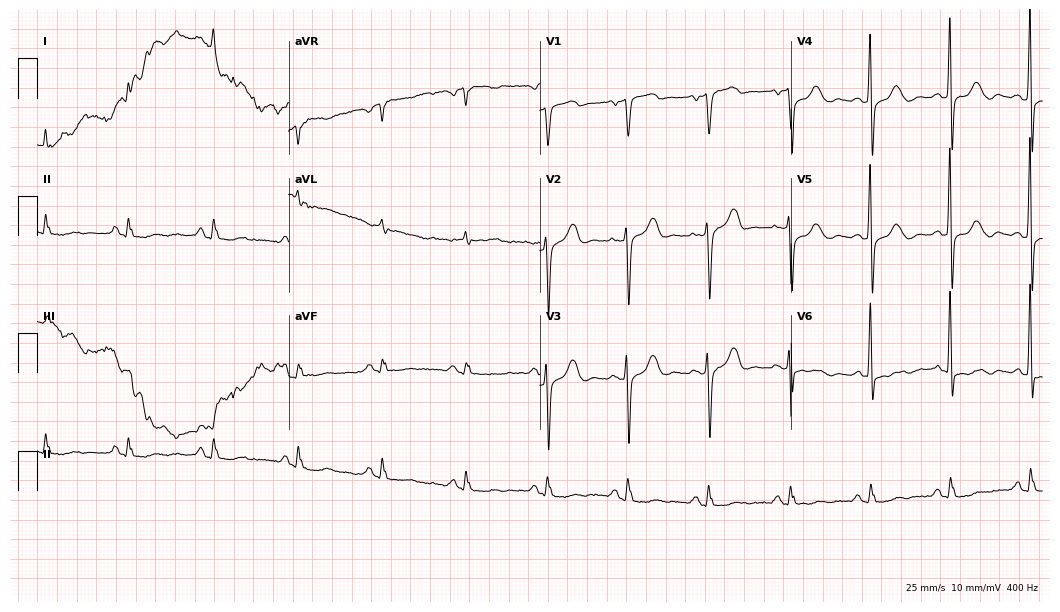
12-lead ECG from a 74-year-old male patient. Screened for six findings — first-degree AV block, right bundle branch block, left bundle branch block, sinus bradycardia, atrial fibrillation, sinus tachycardia — none is recorded.